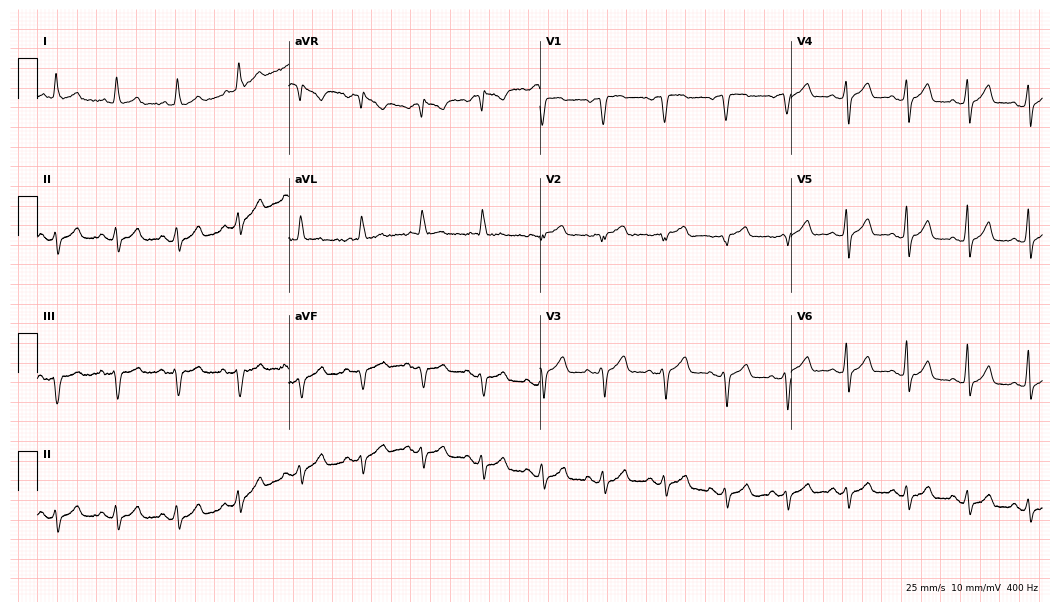
Standard 12-lead ECG recorded from a female patient, 68 years old (10.2-second recording at 400 Hz). None of these six findings is recorded: first-degree AV block, right bundle branch block (RBBB), left bundle branch block (LBBB), sinus bradycardia, atrial fibrillation (AF), sinus tachycardia. Other findings, if any, are not listed.